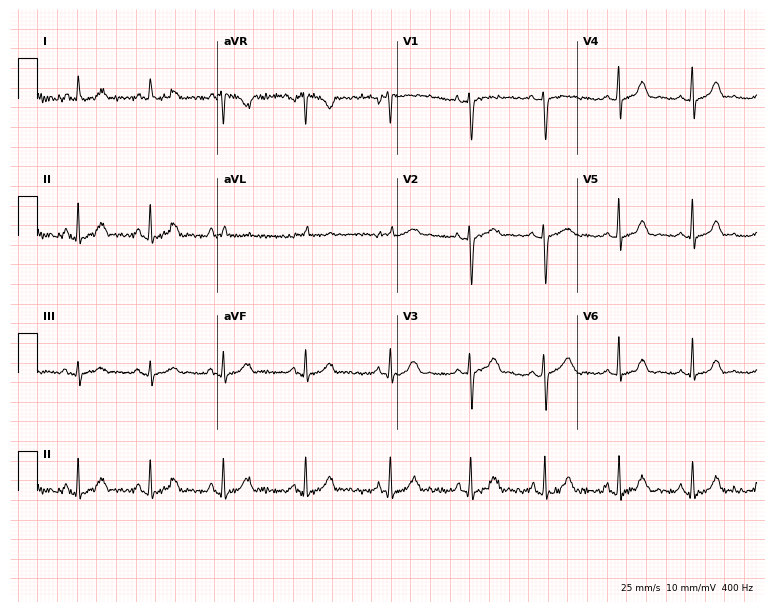
12-lead ECG from a 46-year-old female patient. Labelled as a normal ECG.